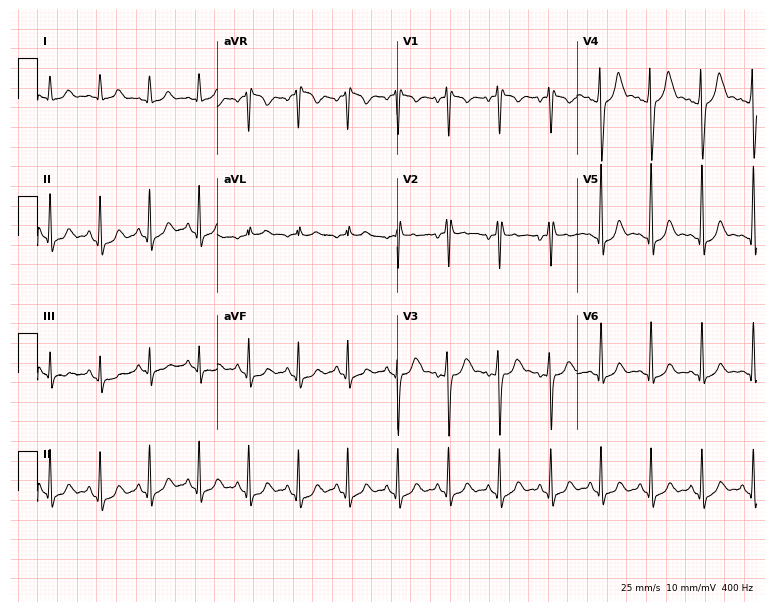
12-lead ECG from a female, 29 years old (7.3-second recording at 400 Hz). Shows sinus tachycardia (a sinus rate of 100 beats per minute or more).